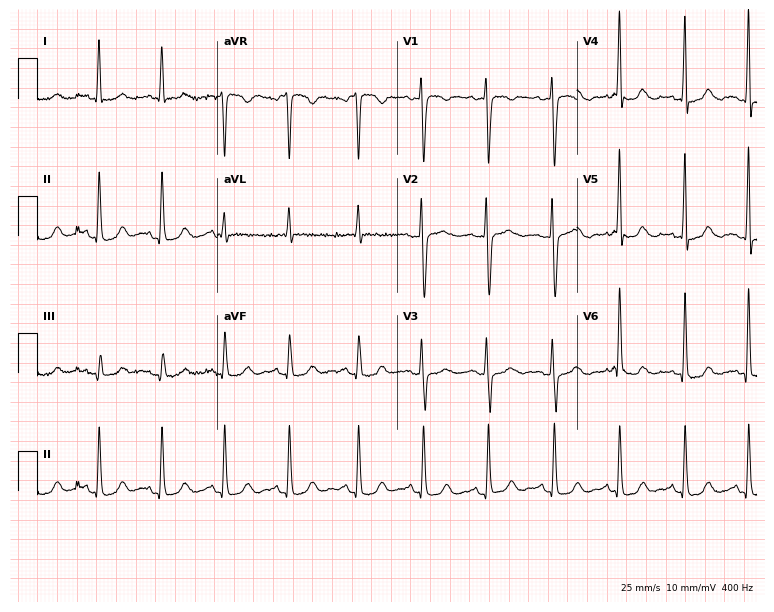
ECG (7.3-second recording at 400 Hz) — a female patient, 49 years old. Labelled as a normal ECG.